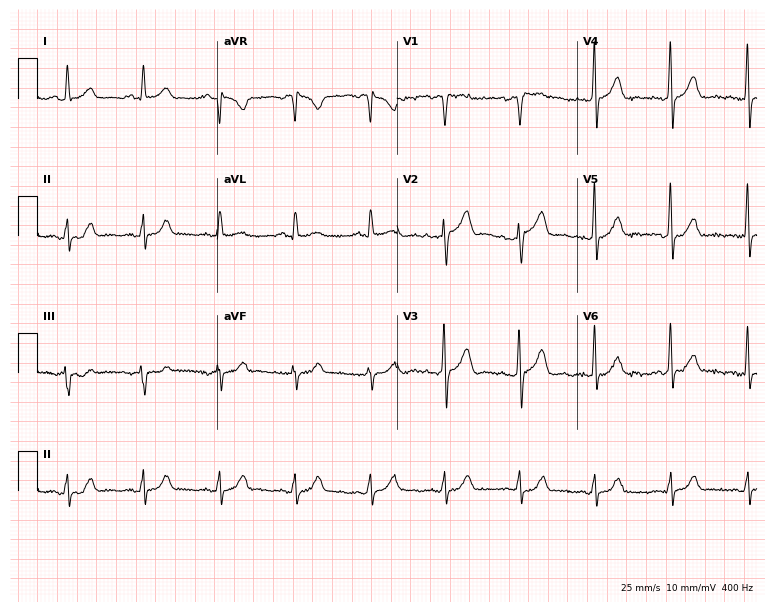
Resting 12-lead electrocardiogram. Patient: a 48-year-old male. None of these six findings is recorded: first-degree AV block, right bundle branch block (RBBB), left bundle branch block (LBBB), sinus bradycardia, atrial fibrillation (AF), sinus tachycardia.